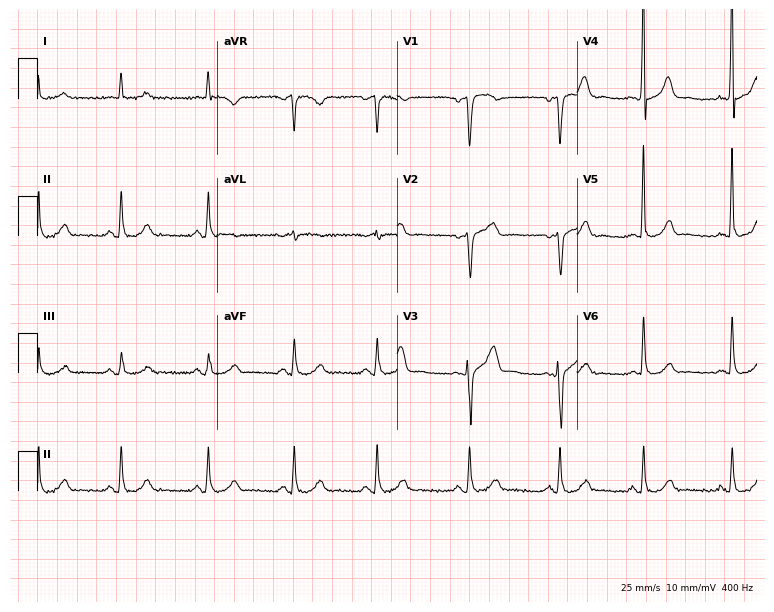
Standard 12-lead ECG recorded from a 74-year-old male. Read as a normal ECG.